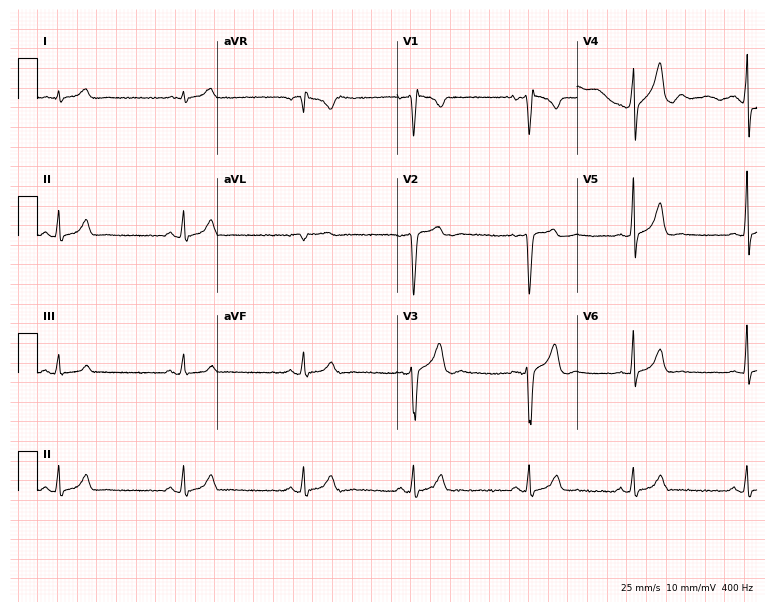
Standard 12-lead ECG recorded from a male, 24 years old (7.3-second recording at 400 Hz). None of these six findings is recorded: first-degree AV block, right bundle branch block (RBBB), left bundle branch block (LBBB), sinus bradycardia, atrial fibrillation (AF), sinus tachycardia. Other findings, if any, are not listed.